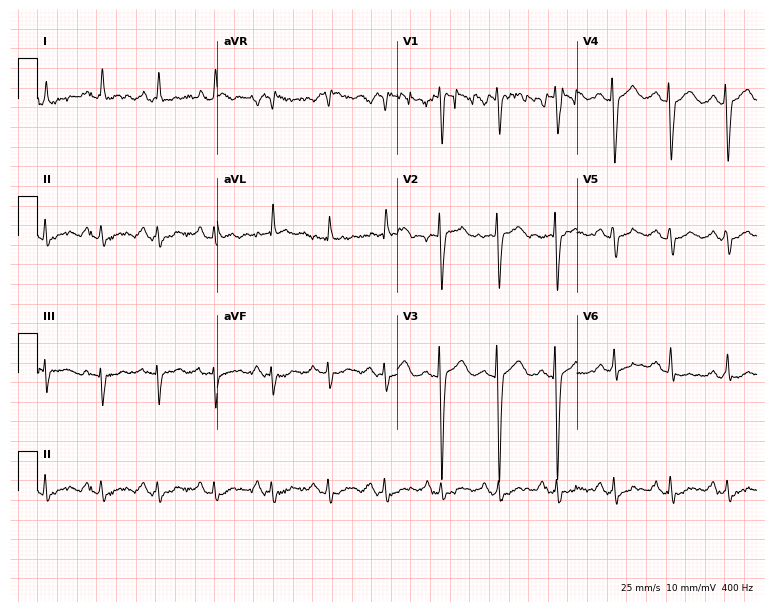
12-lead ECG from a female patient, 58 years old. Shows sinus tachycardia (a sinus rate of 100 beats per minute or more).